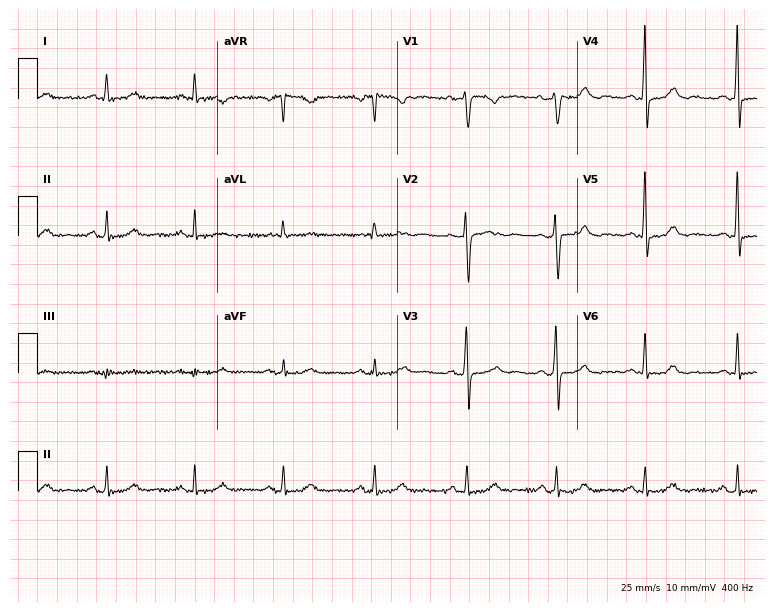
Resting 12-lead electrocardiogram. Patient: a female, 44 years old. Read as a normal ECG.